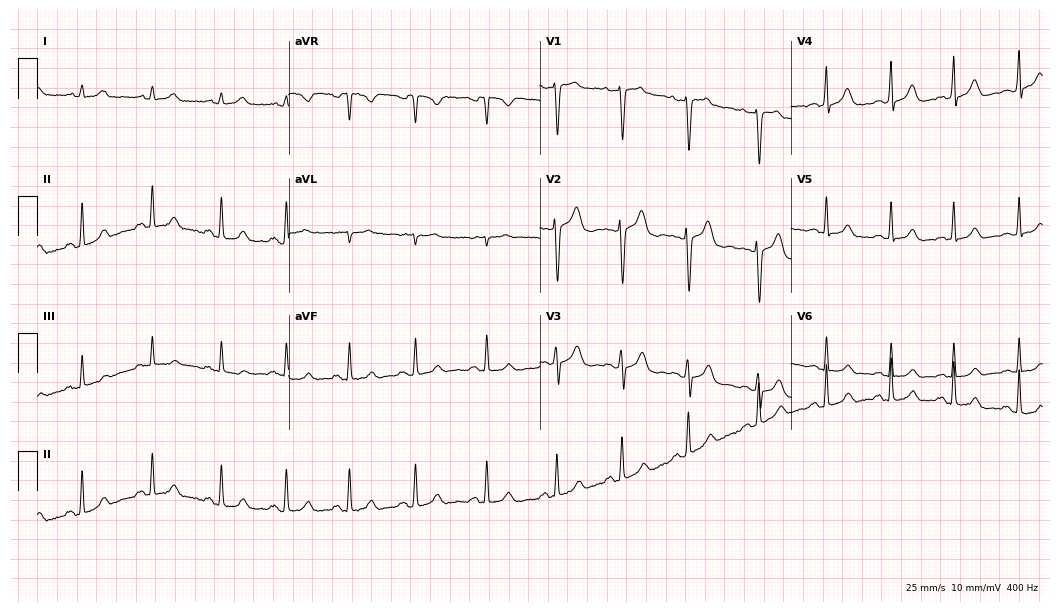
12-lead ECG from a 21-year-old female patient. Labelled as a normal ECG.